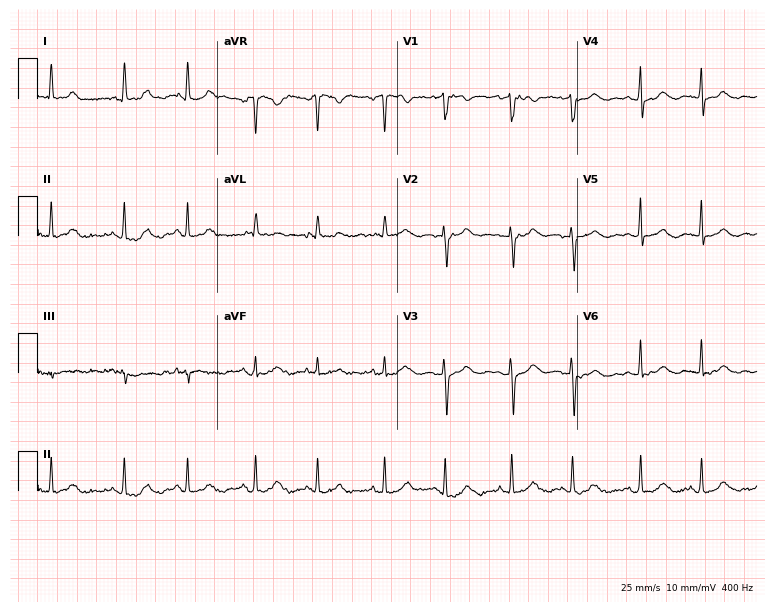
12-lead ECG from a 75-year-old female (7.3-second recording at 400 Hz). No first-degree AV block, right bundle branch block, left bundle branch block, sinus bradycardia, atrial fibrillation or sinus tachycardia recorded for this tracing. Findings outside these six are not listed.